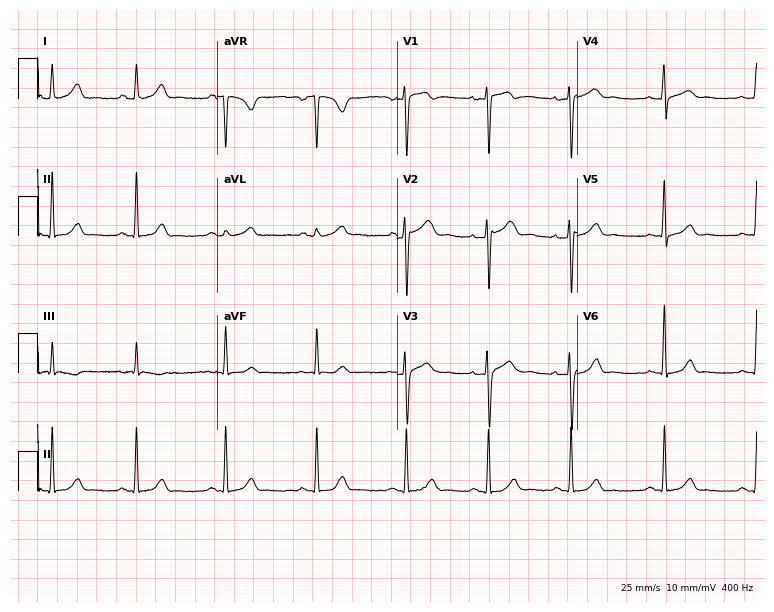
Electrocardiogram, a 28-year-old female patient. Overall reading on record: normal ECG.